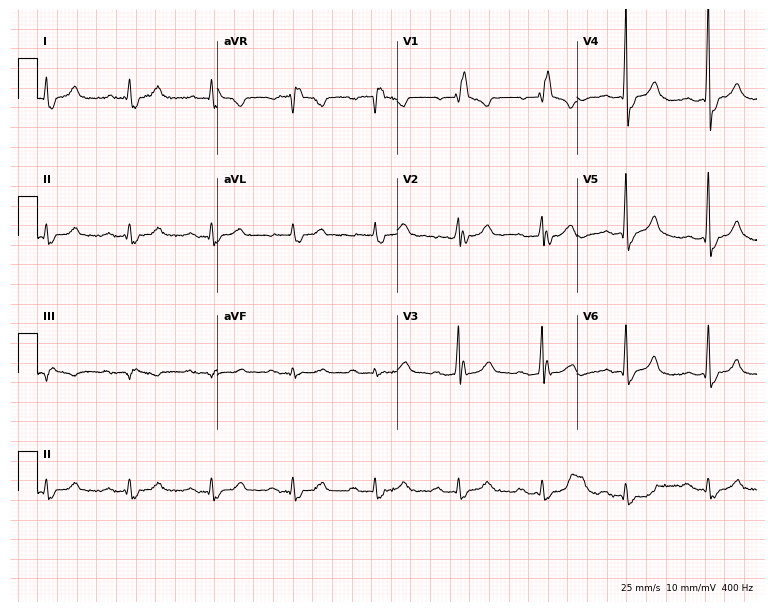
Resting 12-lead electrocardiogram. Patient: a male, 74 years old. The tracing shows first-degree AV block, right bundle branch block.